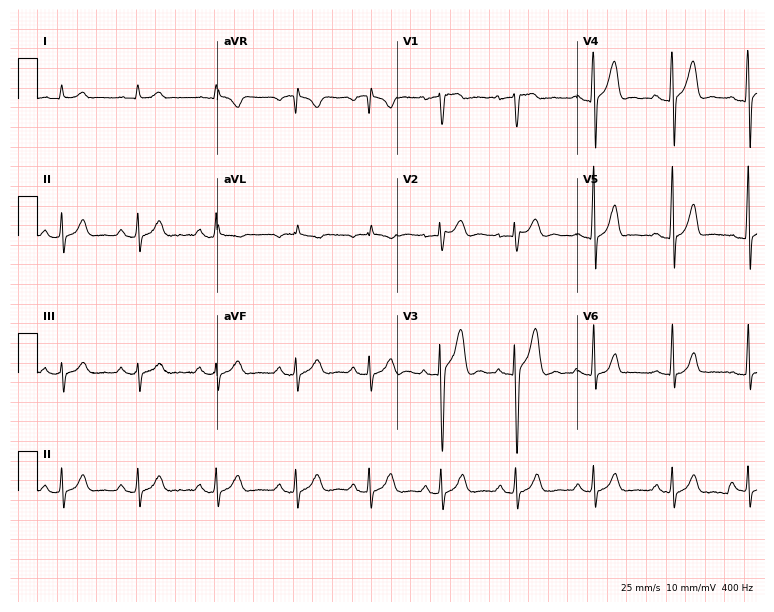
Resting 12-lead electrocardiogram (7.3-second recording at 400 Hz). Patient: a man, 21 years old. Read as a normal ECG.